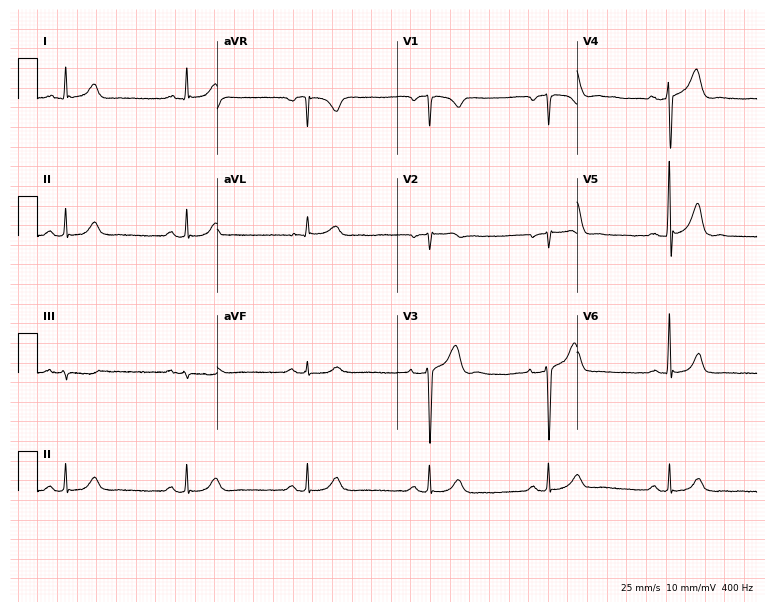
ECG — a 45-year-old male patient. Findings include sinus bradycardia (a sinus rate of 50 beats per minute or less).